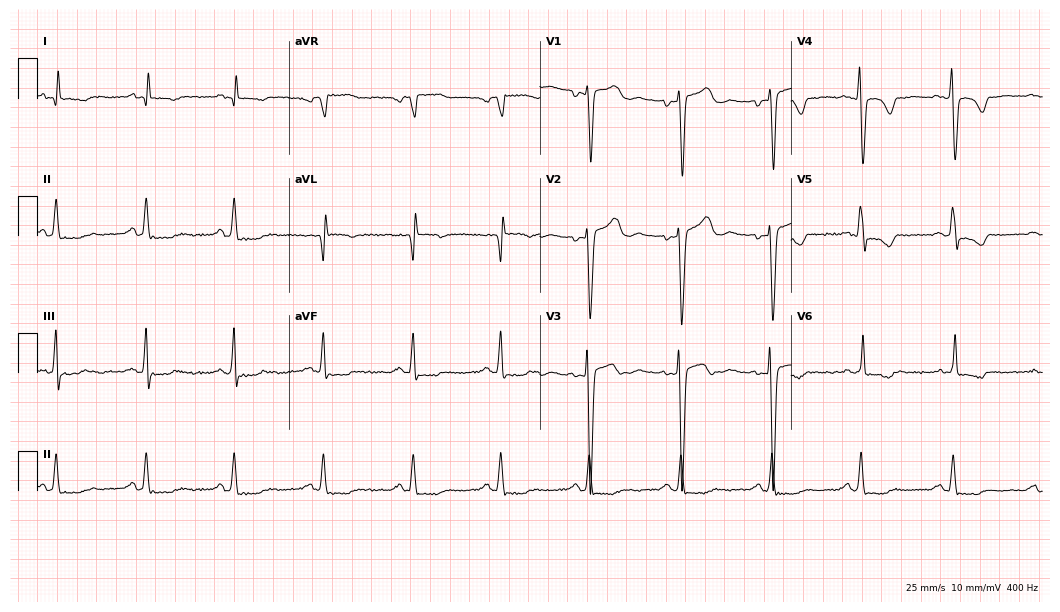
Resting 12-lead electrocardiogram (10.2-second recording at 400 Hz). Patient: a 42-year-old male. Read as a normal ECG.